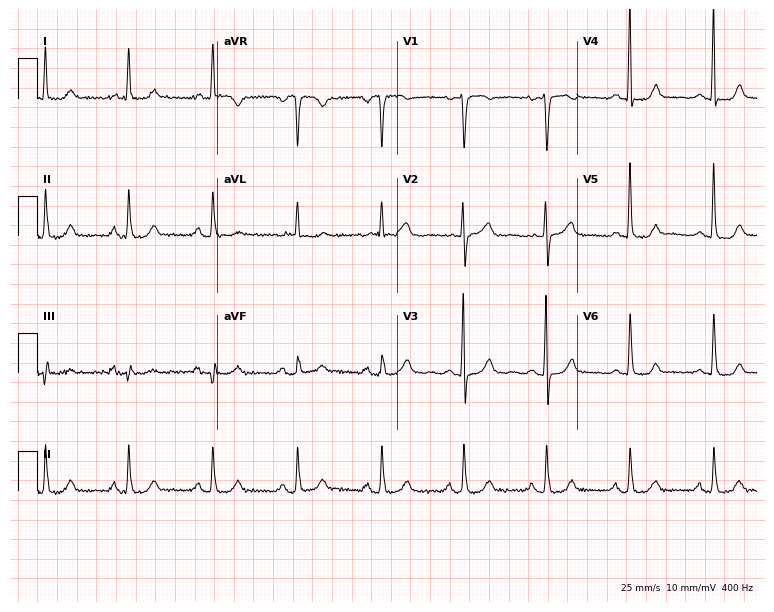
Standard 12-lead ECG recorded from a woman, 69 years old (7.3-second recording at 400 Hz). Read as a normal ECG.